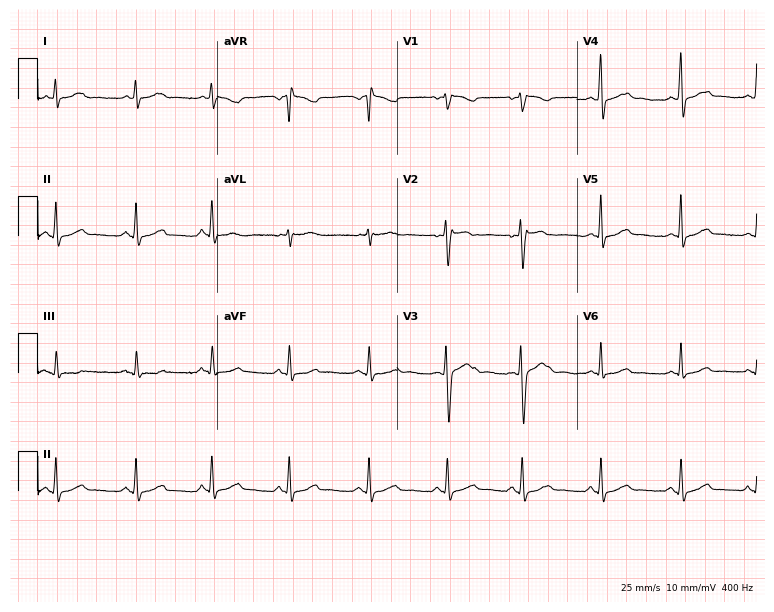
ECG (7.3-second recording at 400 Hz) — a female patient, 33 years old. Labelled as a normal ECG.